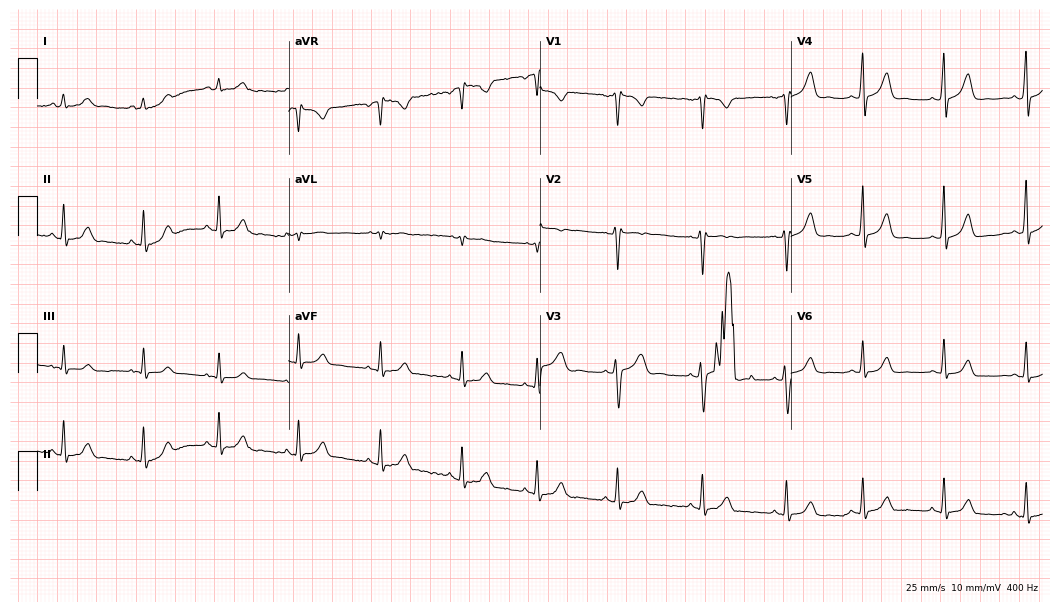
12-lead ECG (10.2-second recording at 400 Hz) from a female, 36 years old. Labelled as a normal ECG.